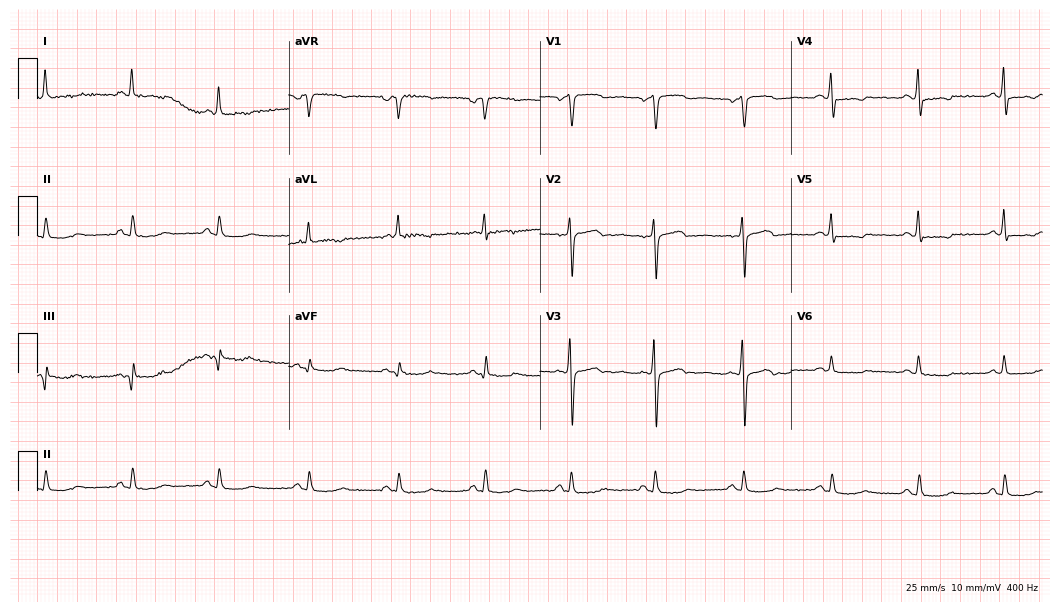
Electrocardiogram, a male patient, 57 years old. Of the six screened findings (first-degree AV block, right bundle branch block, left bundle branch block, sinus bradycardia, atrial fibrillation, sinus tachycardia), none is recorded.